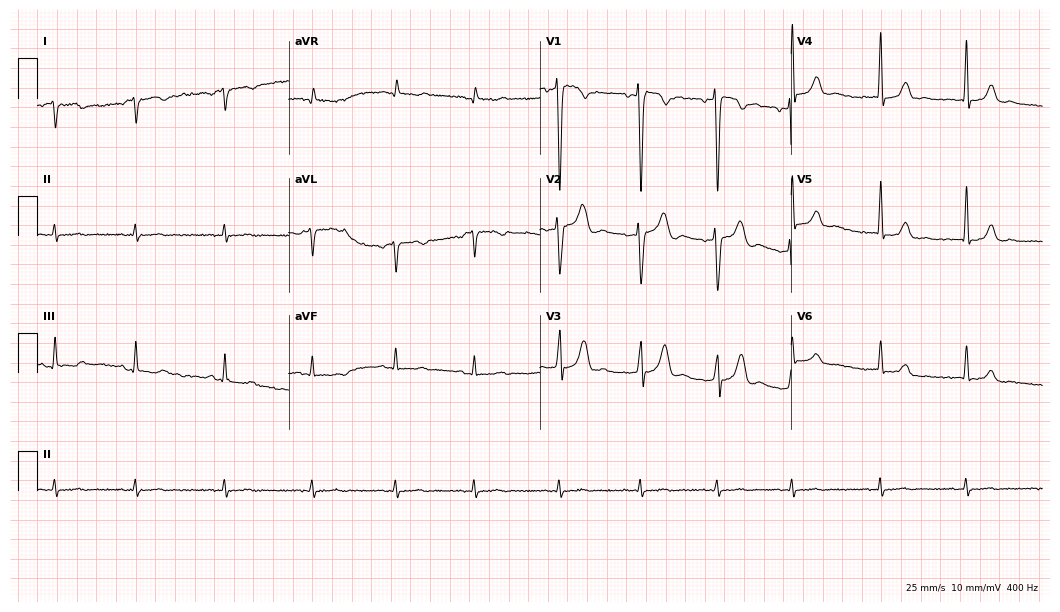
Electrocardiogram (10.2-second recording at 400 Hz), a female patient, 35 years old. Of the six screened findings (first-degree AV block, right bundle branch block, left bundle branch block, sinus bradycardia, atrial fibrillation, sinus tachycardia), none is recorded. Other findings, if any, are not listed.